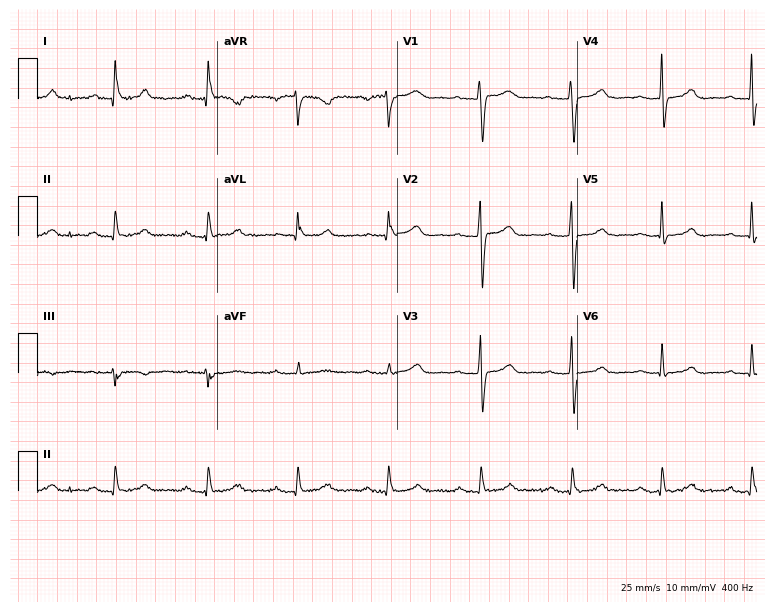
ECG — a female, 40 years old. Findings include first-degree AV block.